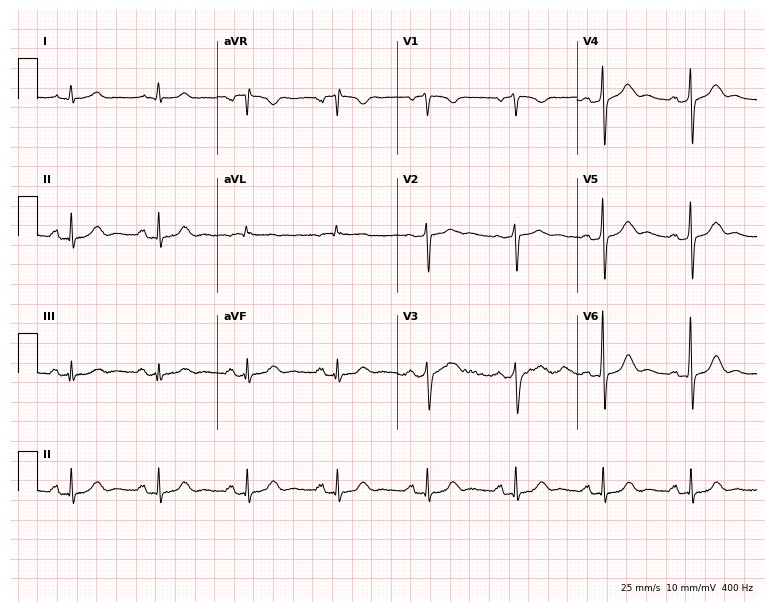
12-lead ECG from an 84-year-old man. Recorded interpretation: within normal limits.